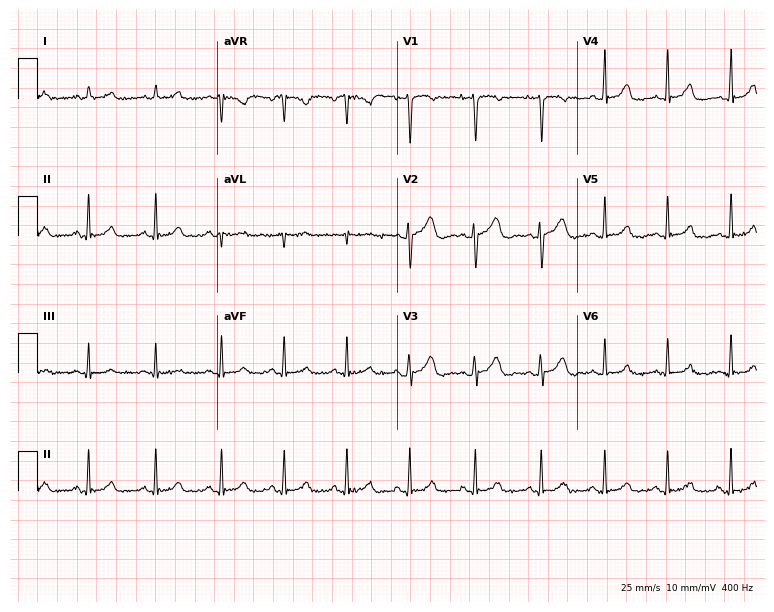
Standard 12-lead ECG recorded from a female patient, 34 years old. None of these six findings is recorded: first-degree AV block, right bundle branch block, left bundle branch block, sinus bradycardia, atrial fibrillation, sinus tachycardia.